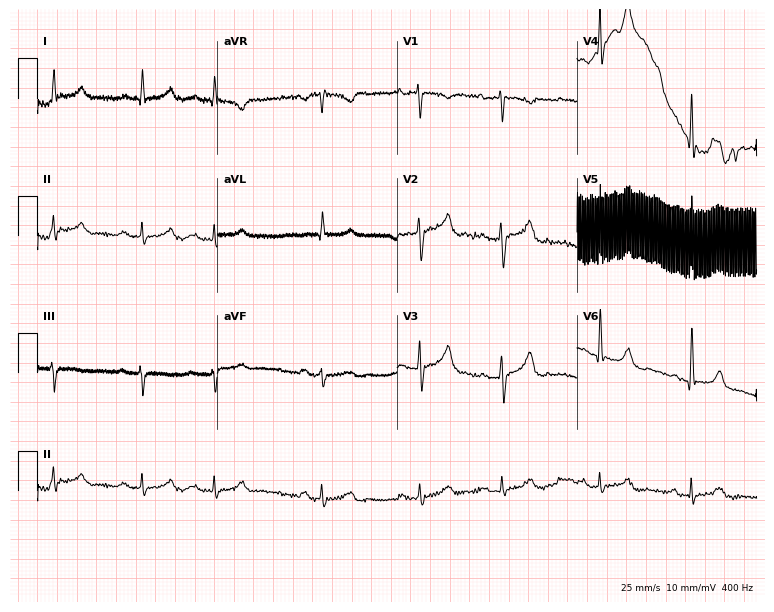
12-lead ECG from a 68-year-old male patient (7.3-second recording at 400 Hz). No first-degree AV block, right bundle branch block, left bundle branch block, sinus bradycardia, atrial fibrillation or sinus tachycardia recorded for this tracing.